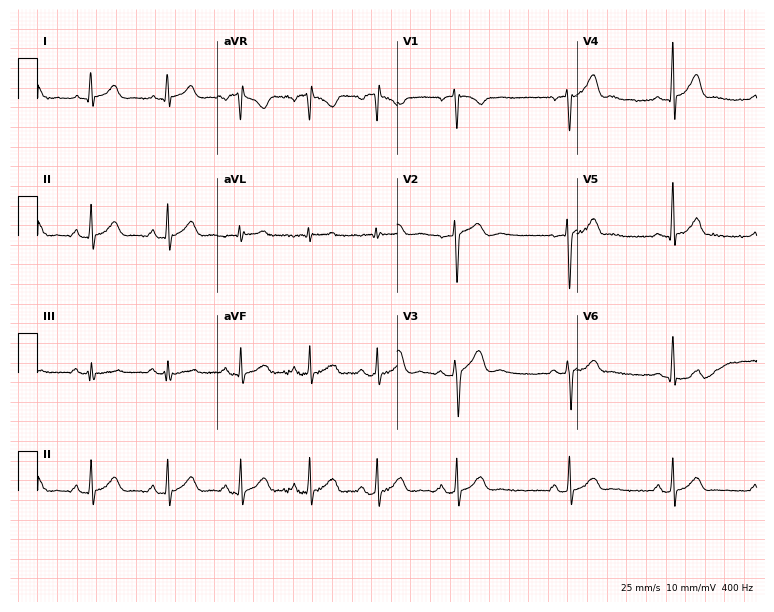
ECG (7.3-second recording at 400 Hz) — a woman, 37 years old. Labelled as a normal ECG.